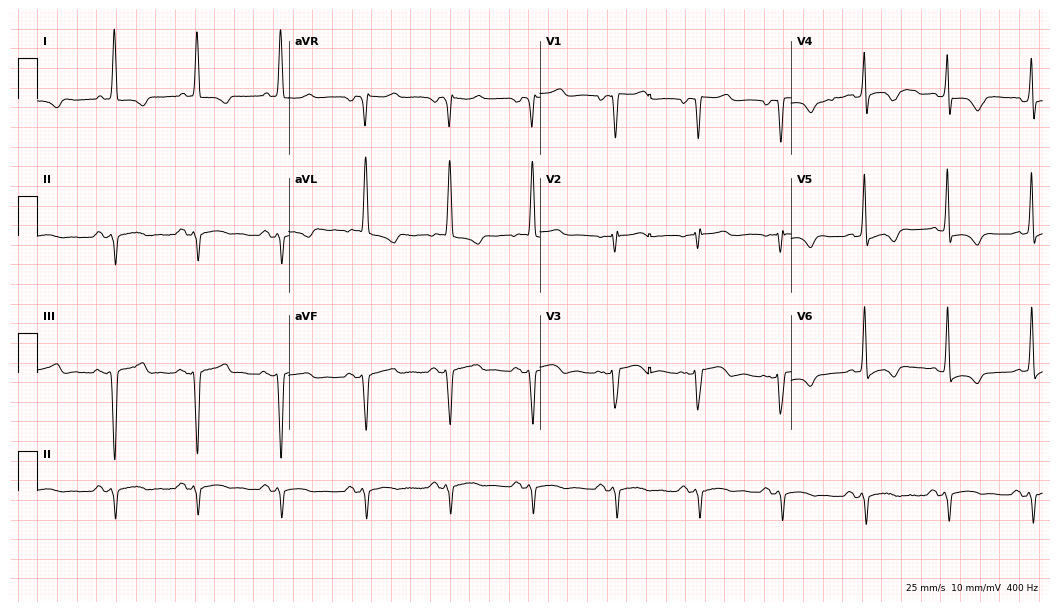
Standard 12-lead ECG recorded from a 71-year-old female. Read as a normal ECG.